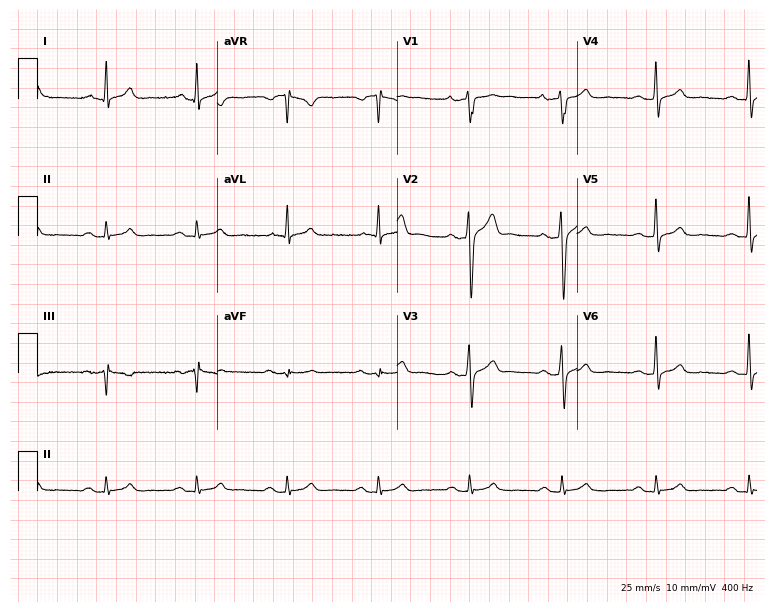
ECG — a male, 36 years old. Screened for six findings — first-degree AV block, right bundle branch block, left bundle branch block, sinus bradycardia, atrial fibrillation, sinus tachycardia — none is recorded.